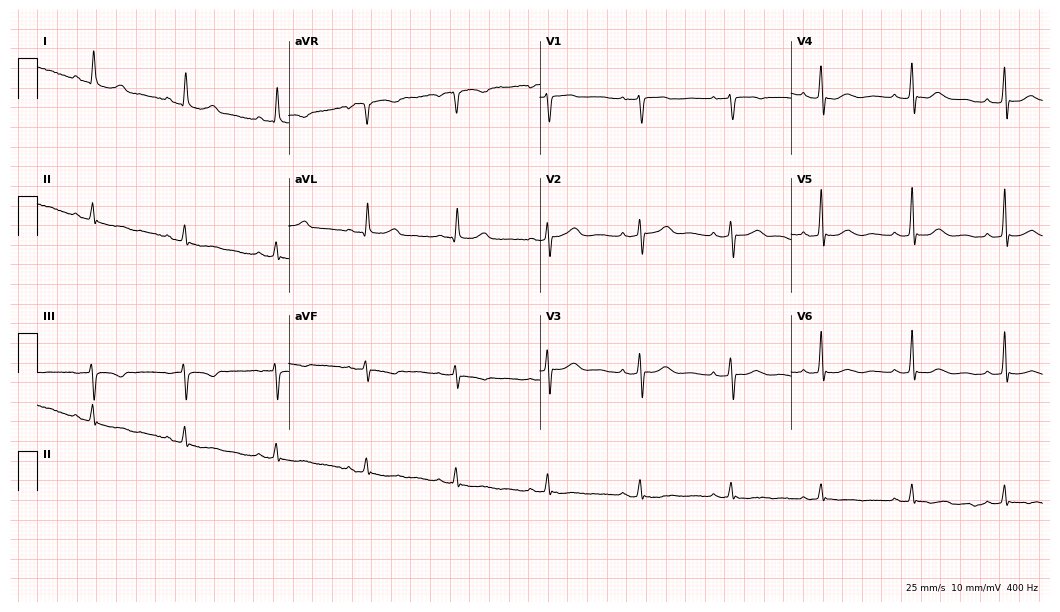
Resting 12-lead electrocardiogram (10.2-second recording at 400 Hz). Patient: a female, 77 years old. Read as a normal ECG.